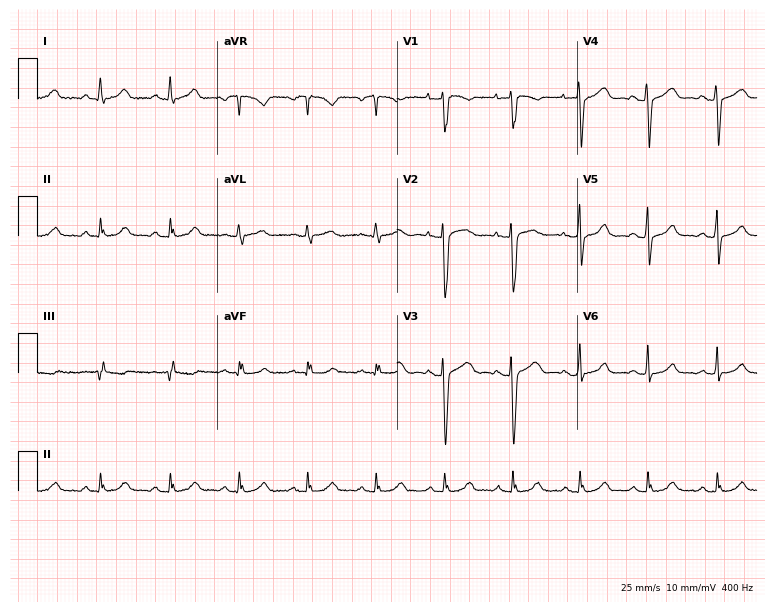
Electrocardiogram (7.3-second recording at 400 Hz), a female, 37 years old. Of the six screened findings (first-degree AV block, right bundle branch block, left bundle branch block, sinus bradycardia, atrial fibrillation, sinus tachycardia), none is recorded. Only these six findings were labelled.